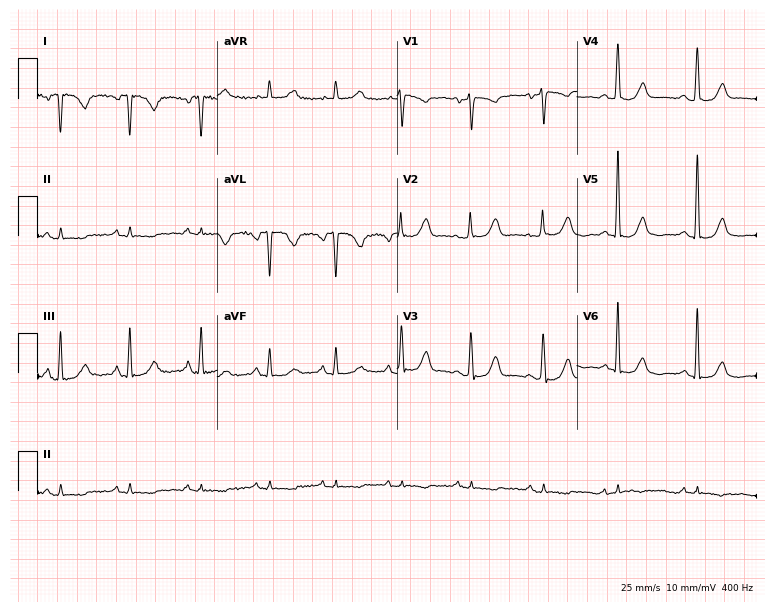
12-lead ECG from a female, 57 years old. No first-degree AV block, right bundle branch block, left bundle branch block, sinus bradycardia, atrial fibrillation or sinus tachycardia recorded for this tracing.